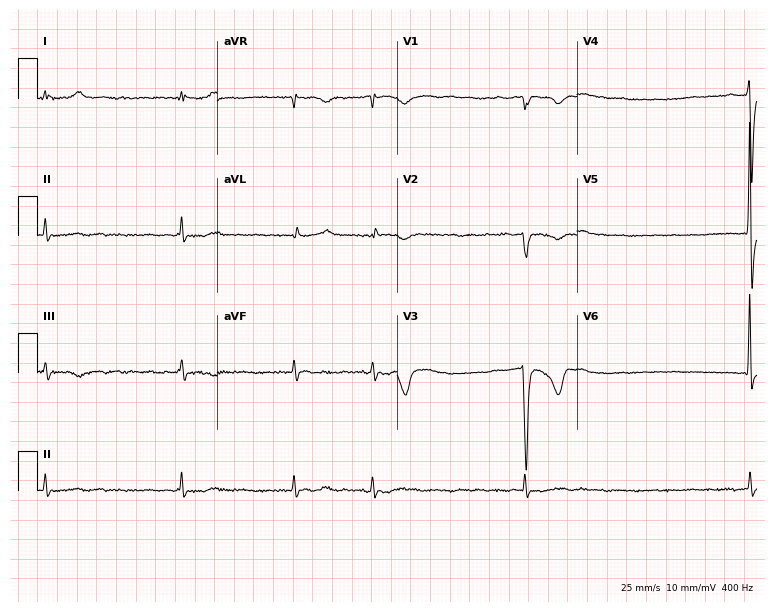
Resting 12-lead electrocardiogram. Patient: a female, 83 years old. The tracing shows atrial fibrillation (AF).